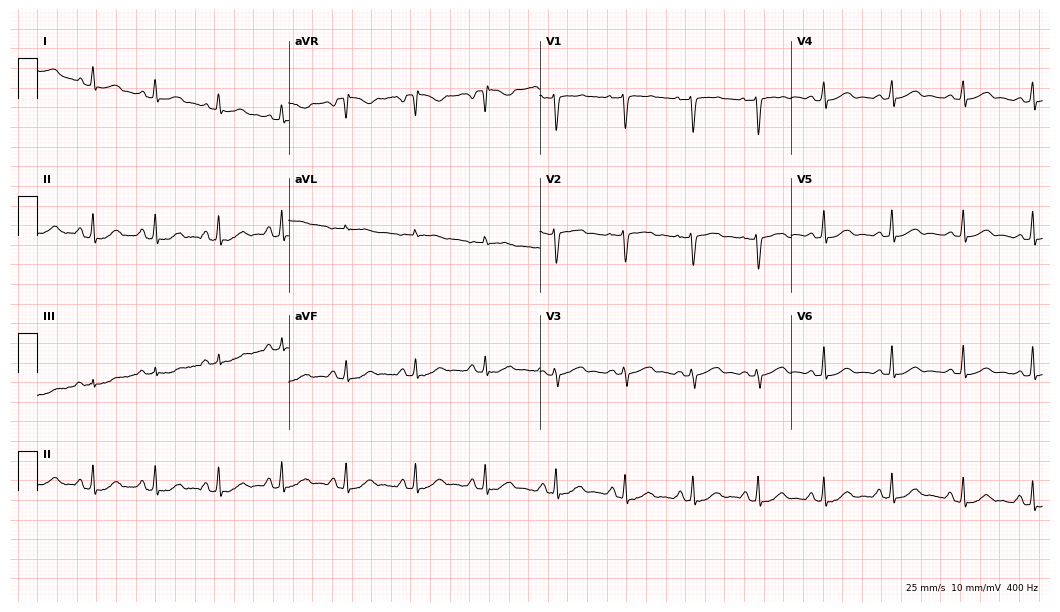
Electrocardiogram, a 39-year-old female. Overall reading on record: normal ECG.